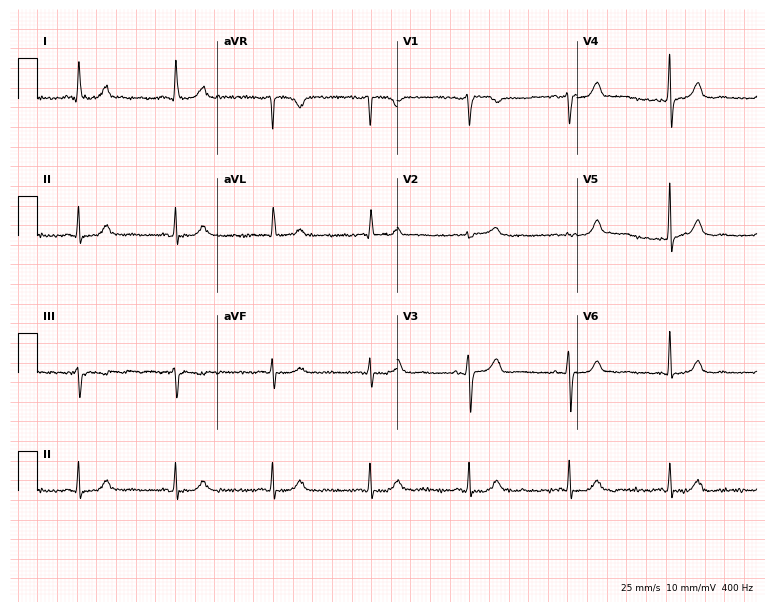
ECG (7.3-second recording at 400 Hz) — a female, 70 years old. Labelled as a normal ECG.